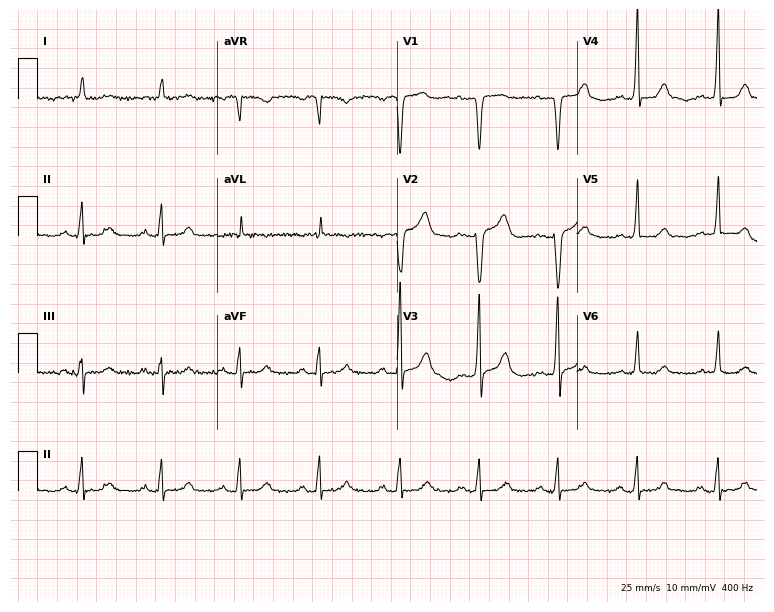
Standard 12-lead ECG recorded from a 76-year-old female. Read as a normal ECG.